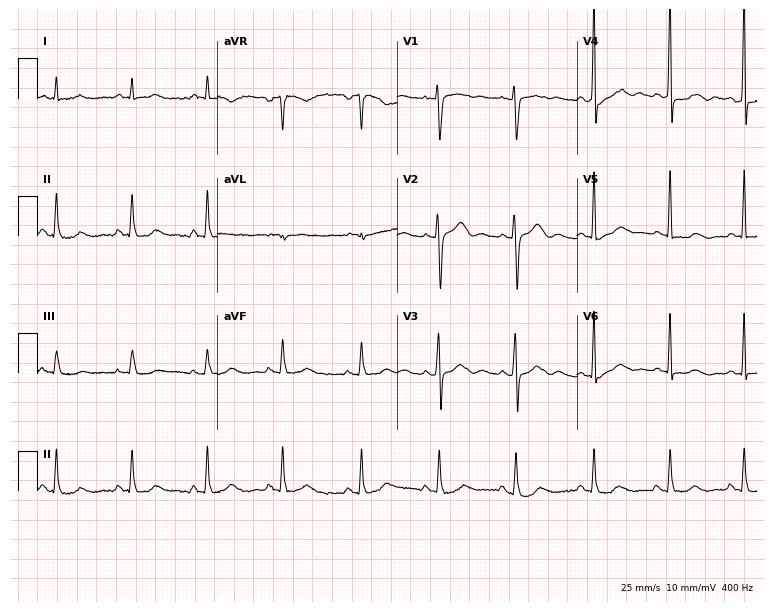
Resting 12-lead electrocardiogram. Patient: a 32-year-old female. None of these six findings is recorded: first-degree AV block, right bundle branch block (RBBB), left bundle branch block (LBBB), sinus bradycardia, atrial fibrillation (AF), sinus tachycardia.